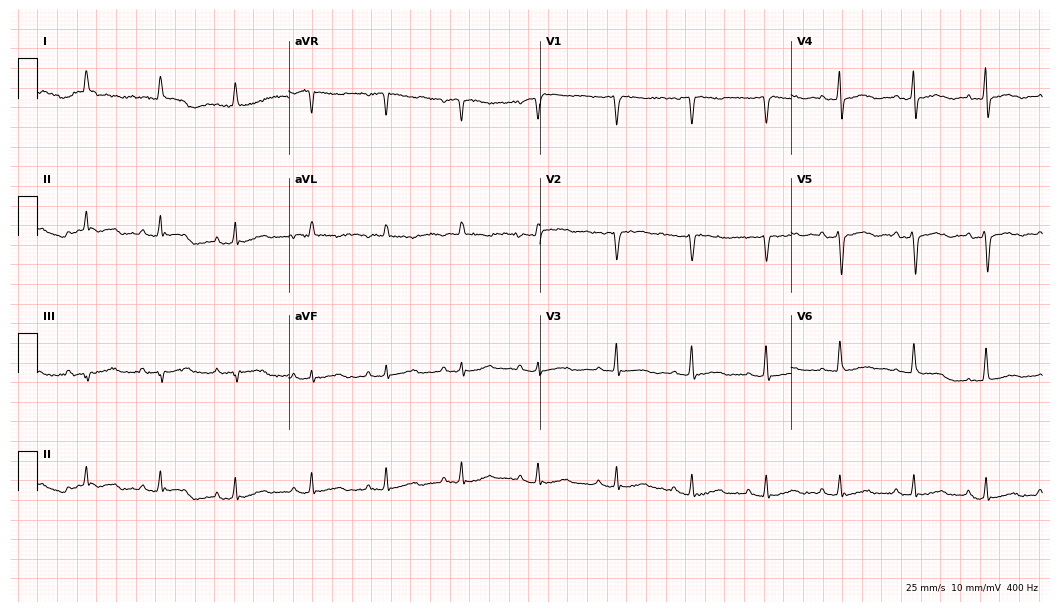
12-lead ECG (10.2-second recording at 400 Hz) from a 56-year-old woman. Screened for six findings — first-degree AV block, right bundle branch block, left bundle branch block, sinus bradycardia, atrial fibrillation, sinus tachycardia — none is recorded.